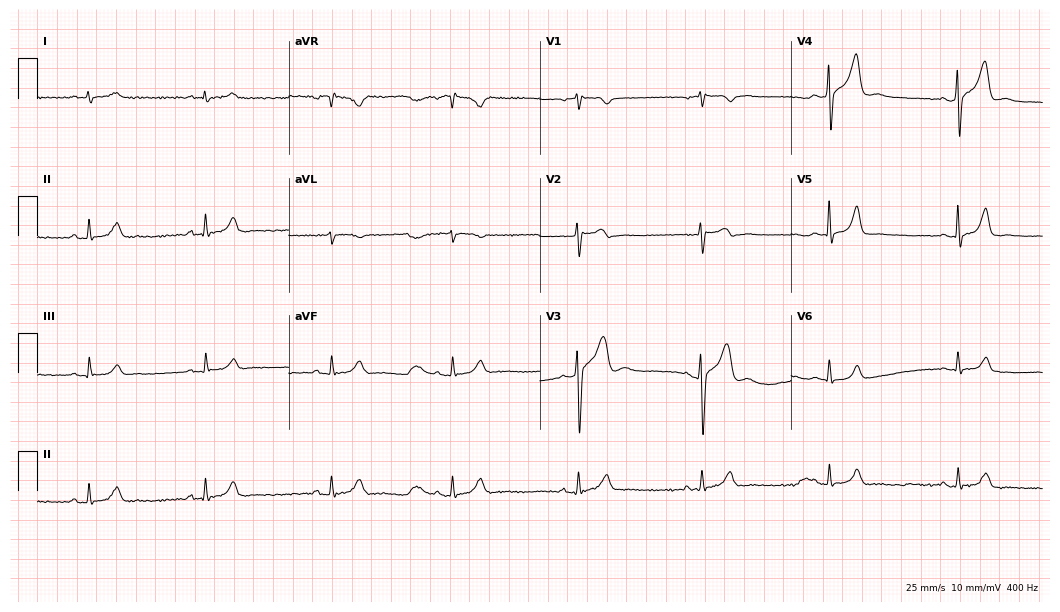
12-lead ECG from a 47-year-old male (10.2-second recording at 400 Hz). No first-degree AV block, right bundle branch block (RBBB), left bundle branch block (LBBB), sinus bradycardia, atrial fibrillation (AF) or sinus tachycardia recorded for this tracing. Only these six findings were labelled.